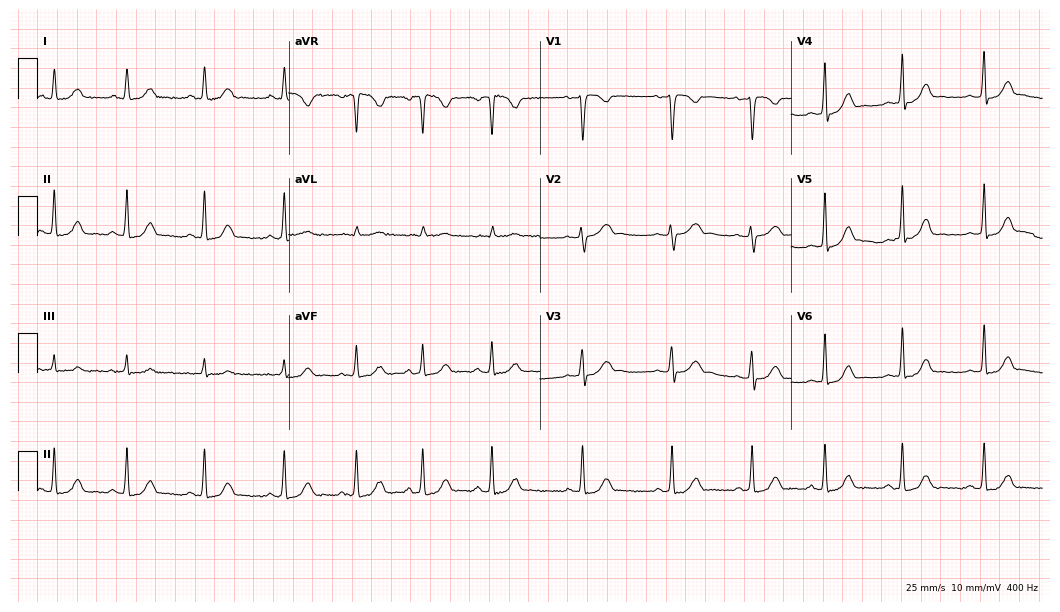
12-lead ECG from an 18-year-old female. Recorded interpretation: within normal limits.